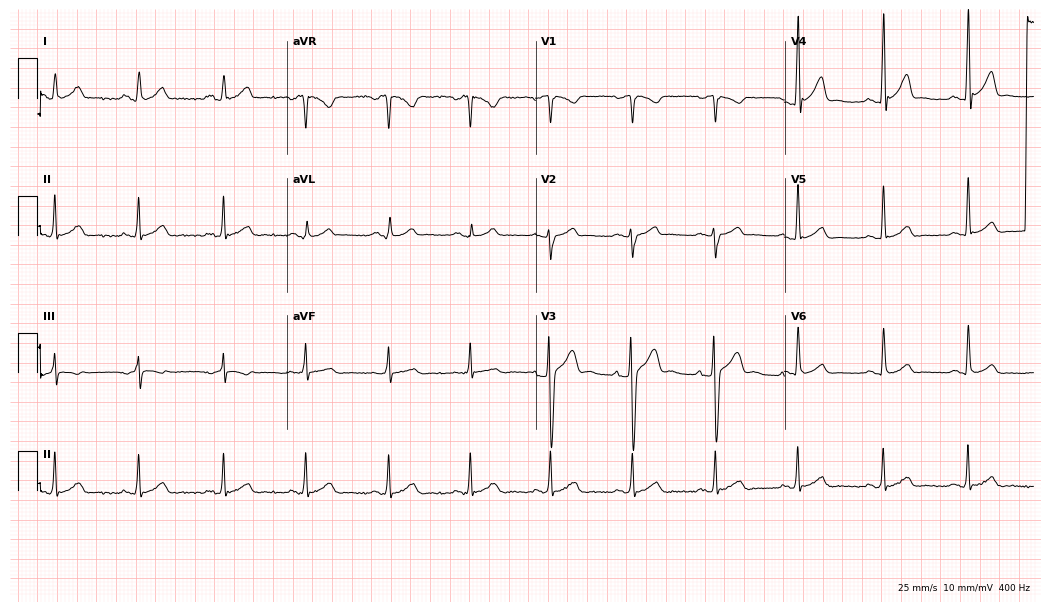
Standard 12-lead ECG recorded from a man, 36 years old. Read as a normal ECG.